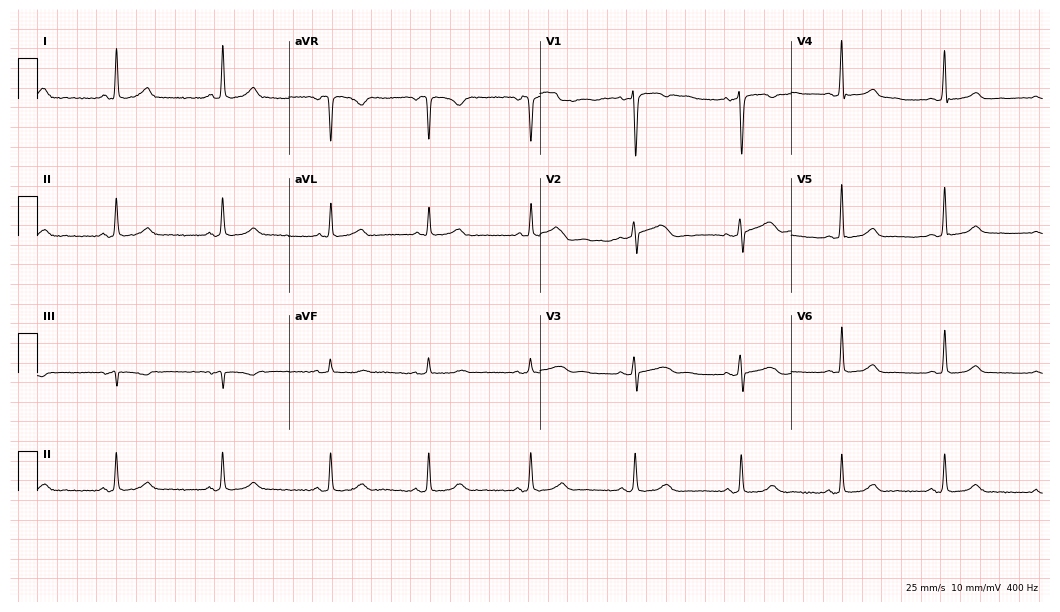
Electrocardiogram, a 53-year-old female. Overall reading on record: normal ECG.